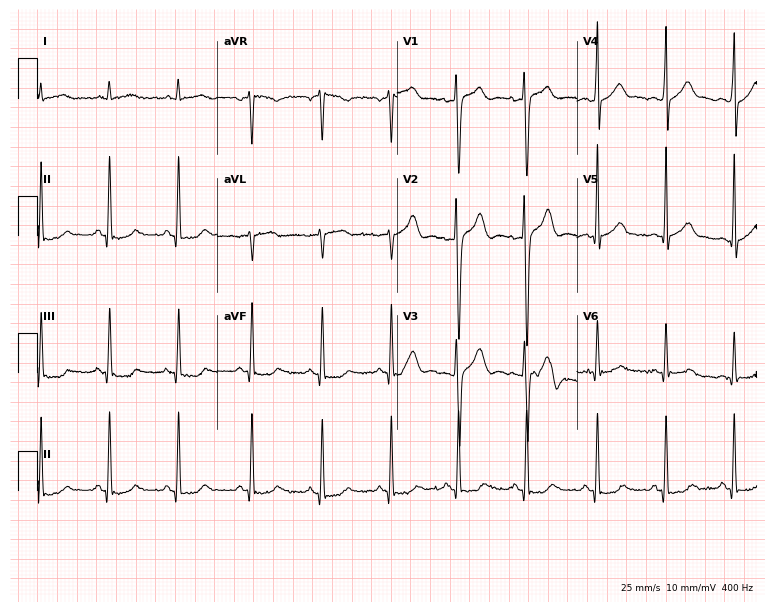
12-lead ECG from a 34-year-old male patient (7.3-second recording at 400 Hz). No first-degree AV block, right bundle branch block, left bundle branch block, sinus bradycardia, atrial fibrillation or sinus tachycardia recorded for this tracing.